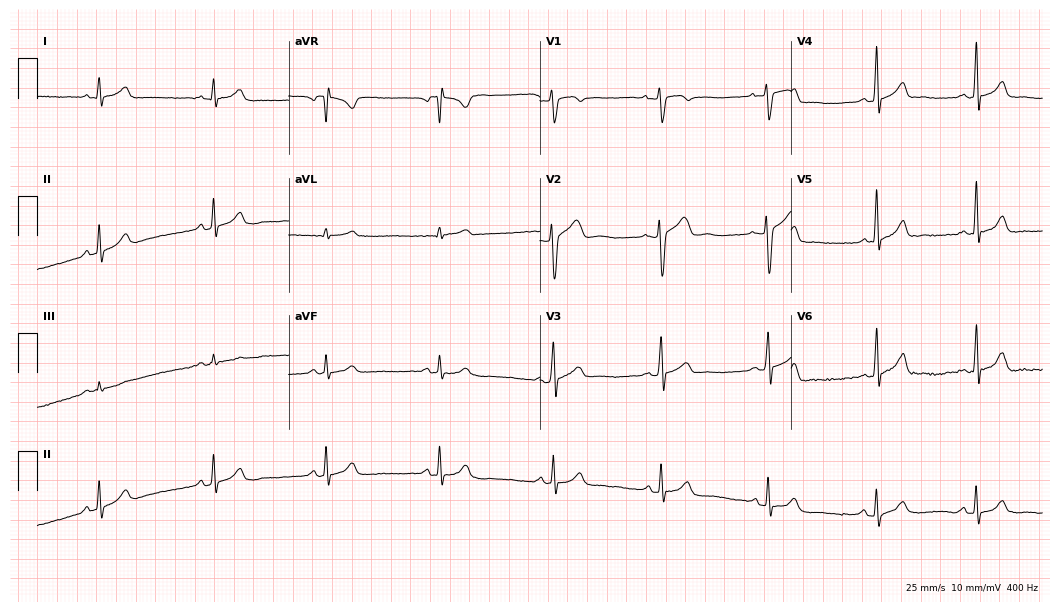
12-lead ECG from a 19-year-old male patient. Recorded interpretation: within normal limits.